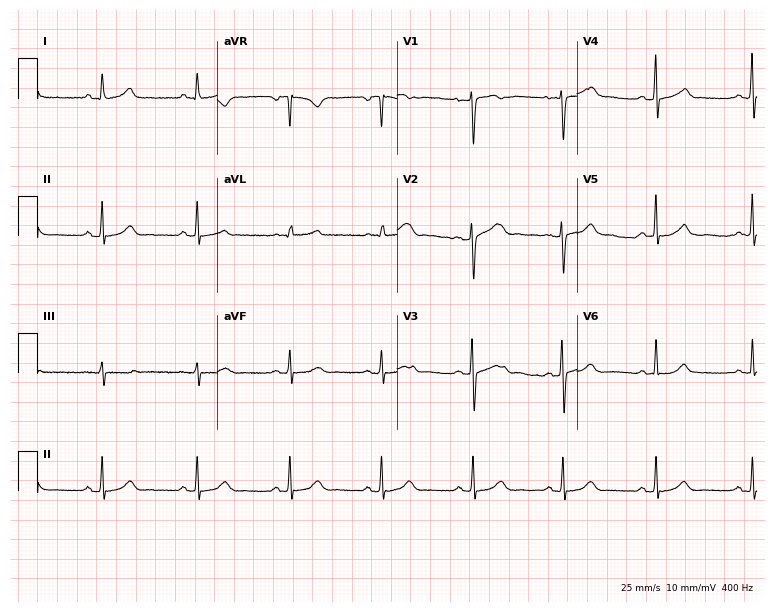
12-lead ECG (7.3-second recording at 400 Hz) from a female, 39 years old. Labelled as a normal ECG.